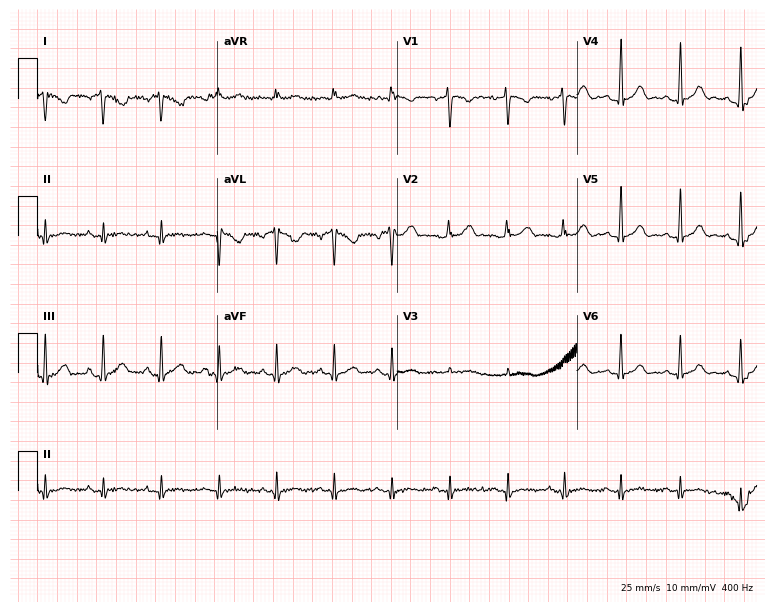
Electrocardiogram (7.3-second recording at 400 Hz), a 19-year-old female patient. Of the six screened findings (first-degree AV block, right bundle branch block (RBBB), left bundle branch block (LBBB), sinus bradycardia, atrial fibrillation (AF), sinus tachycardia), none is recorded. Findings outside these six are not listed.